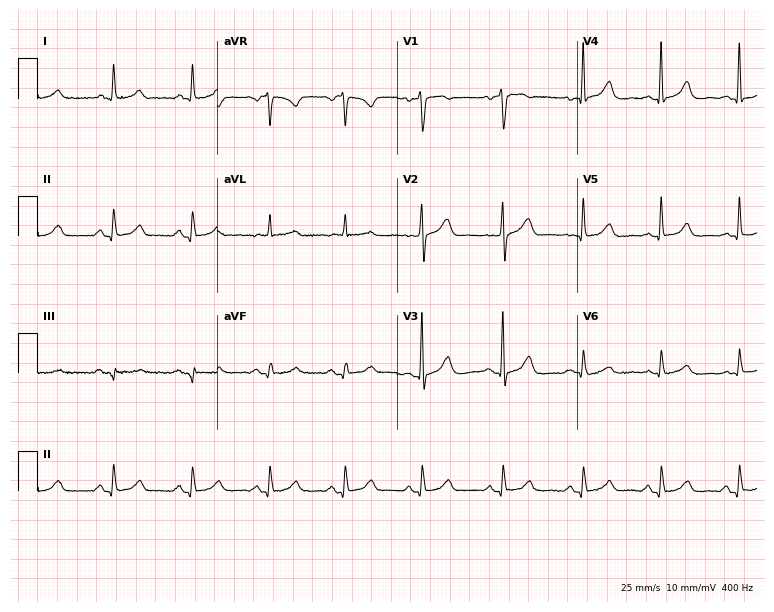
ECG (7.3-second recording at 400 Hz) — a woman, 60 years old. Labelled as a normal ECG.